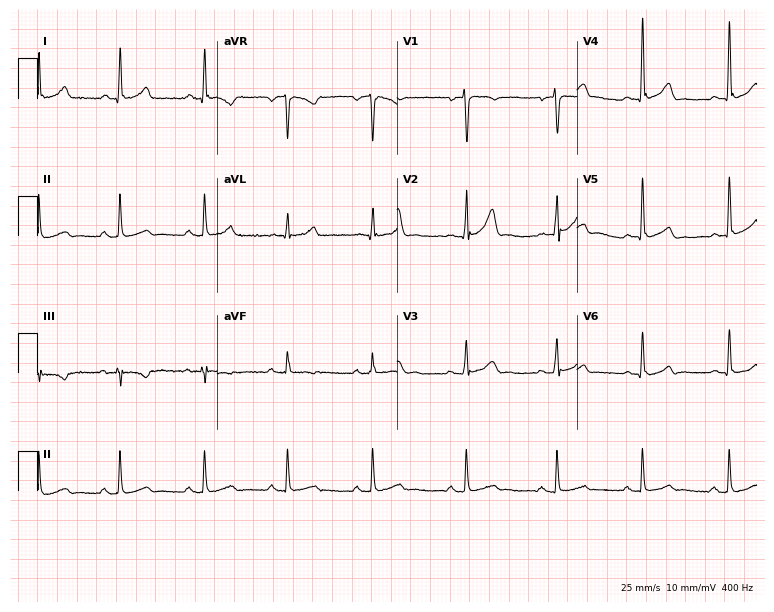
Standard 12-lead ECG recorded from a 38-year-old male (7.3-second recording at 400 Hz). Read as a normal ECG.